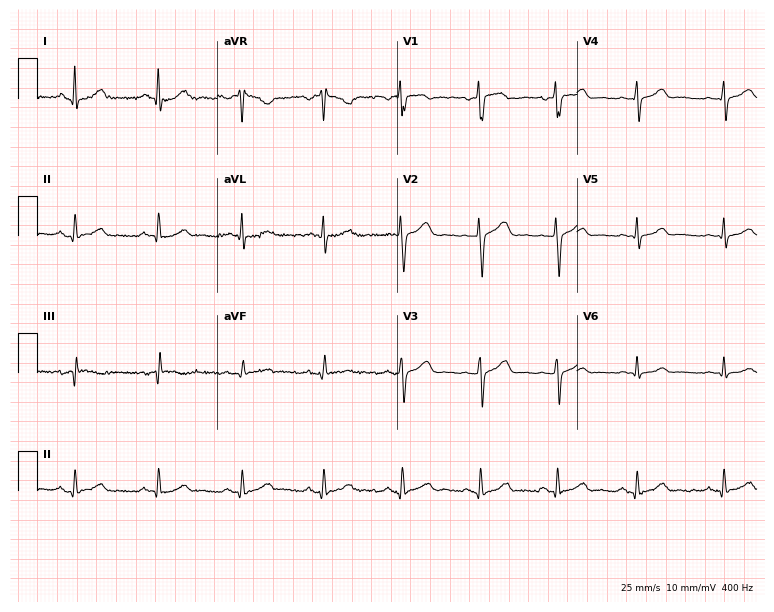
Resting 12-lead electrocardiogram (7.3-second recording at 400 Hz). Patient: a man, 48 years old. None of these six findings is recorded: first-degree AV block, right bundle branch block (RBBB), left bundle branch block (LBBB), sinus bradycardia, atrial fibrillation (AF), sinus tachycardia.